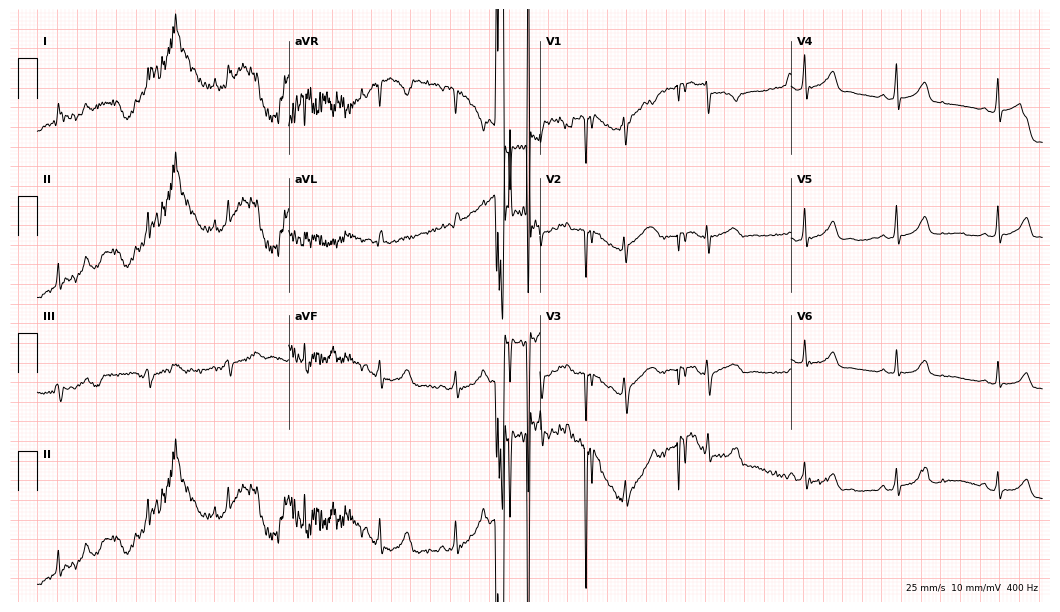
Resting 12-lead electrocardiogram. Patient: a 29-year-old woman. None of these six findings is recorded: first-degree AV block, right bundle branch block, left bundle branch block, sinus bradycardia, atrial fibrillation, sinus tachycardia.